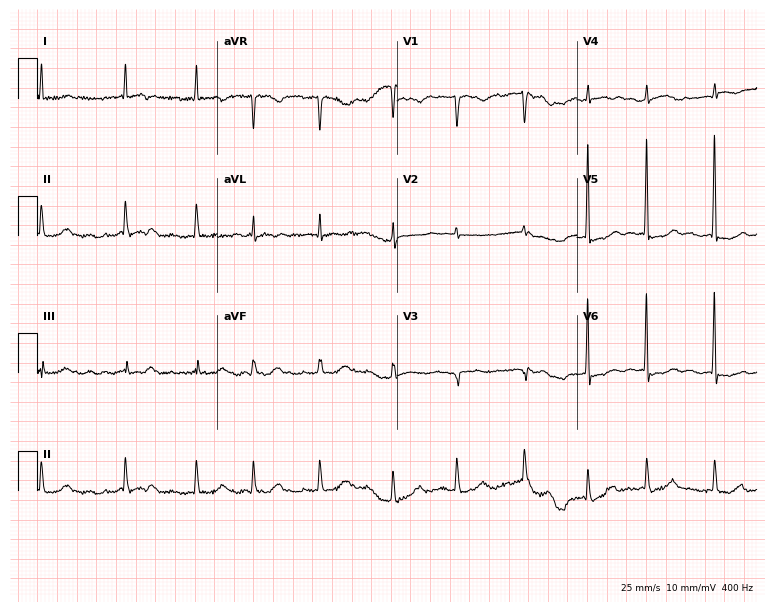
Standard 12-lead ECG recorded from a 74-year-old woman (7.3-second recording at 400 Hz). The tracing shows atrial fibrillation.